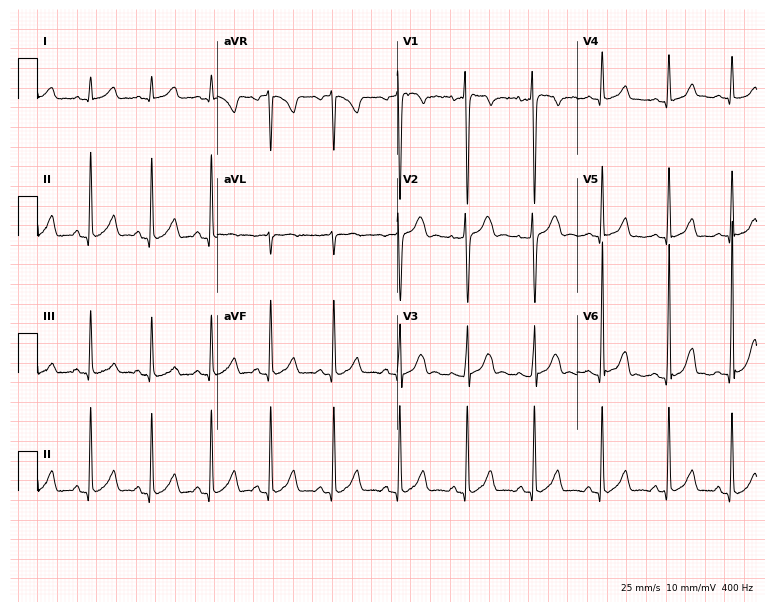
Standard 12-lead ECG recorded from a male patient, 18 years old. None of these six findings is recorded: first-degree AV block, right bundle branch block, left bundle branch block, sinus bradycardia, atrial fibrillation, sinus tachycardia. Other findings, if any, are not listed.